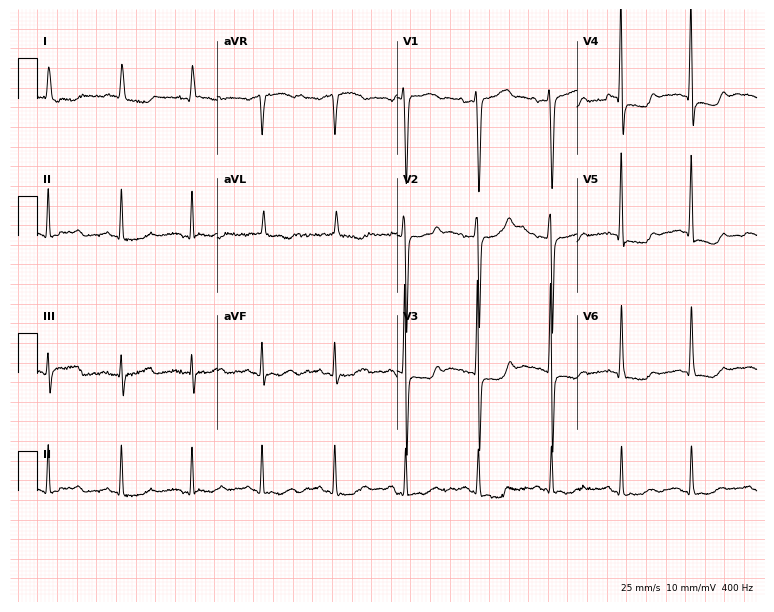
Resting 12-lead electrocardiogram (7.3-second recording at 400 Hz). Patient: a male, 82 years old. None of these six findings is recorded: first-degree AV block, right bundle branch block, left bundle branch block, sinus bradycardia, atrial fibrillation, sinus tachycardia. Findings outside these six are not listed.